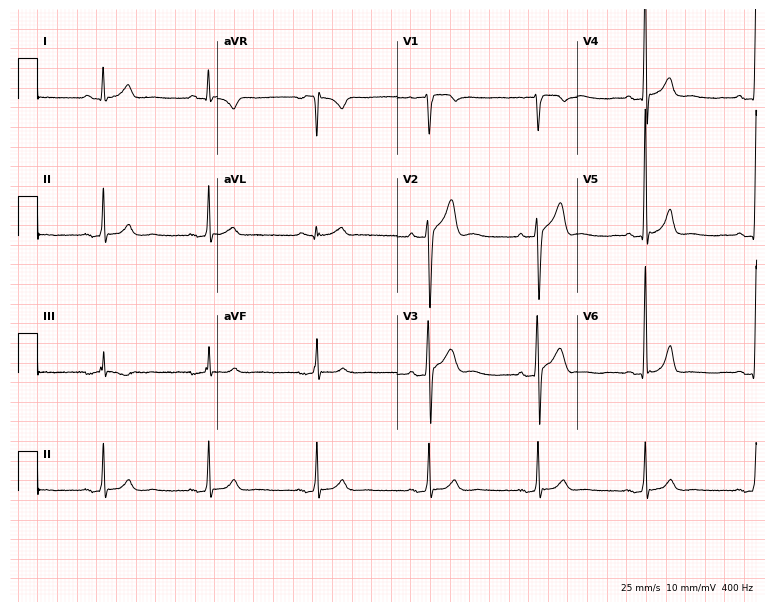
Standard 12-lead ECG recorded from a 33-year-old man (7.3-second recording at 400 Hz). Read as a normal ECG.